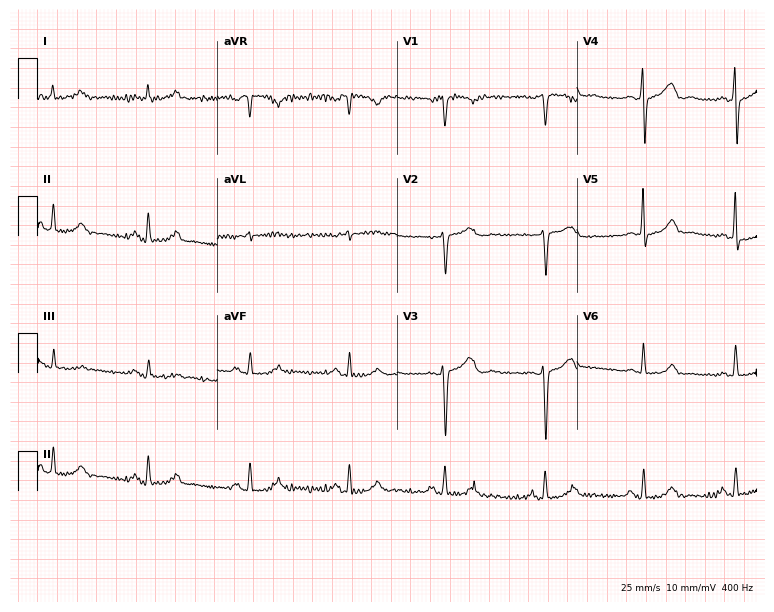
12-lead ECG from a female patient, 47 years old. Screened for six findings — first-degree AV block, right bundle branch block, left bundle branch block, sinus bradycardia, atrial fibrillation, sinus tachycardia — none is recorded. Only these six findings were labelled.